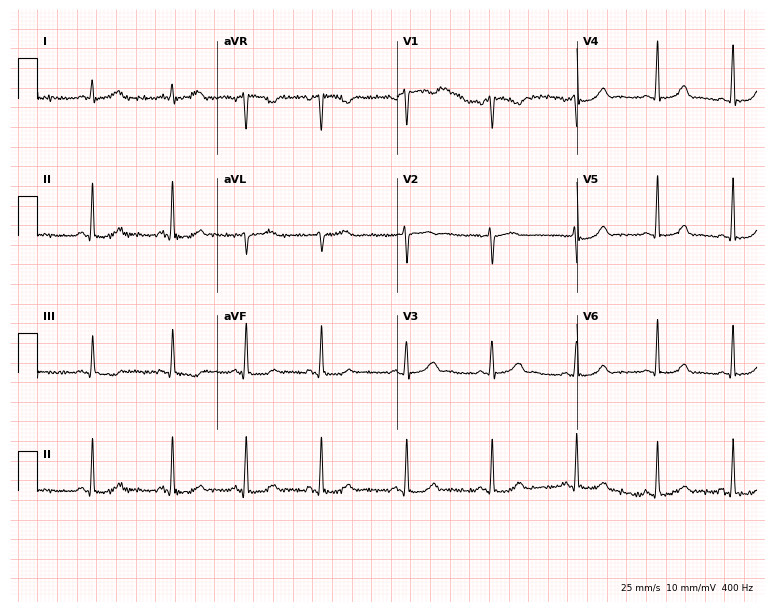
Resting 12-lead electrocardiogram. Patient: a female, 30 years old. Read as a normal ECG.